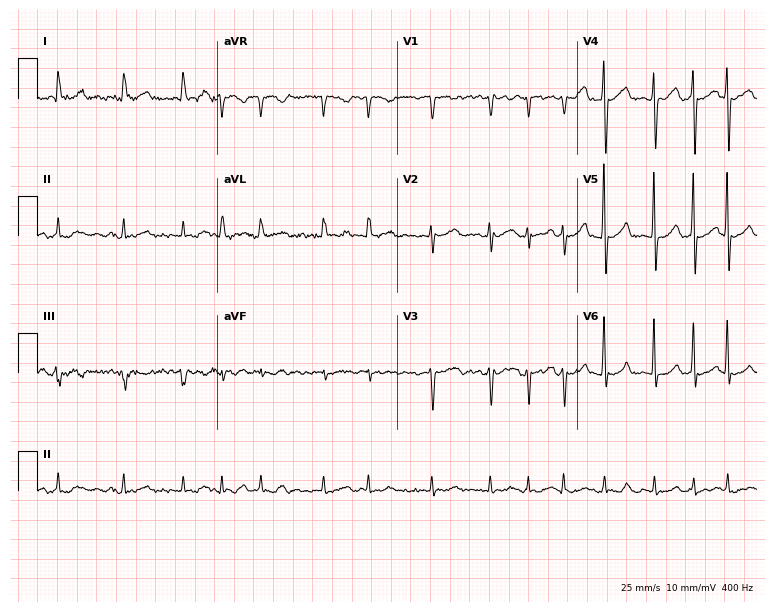
Electrocardiogram (7.3-second recording at 400 Hz), a female patient, 65 years old. Interpretation includes atrial fibrillation (AF).